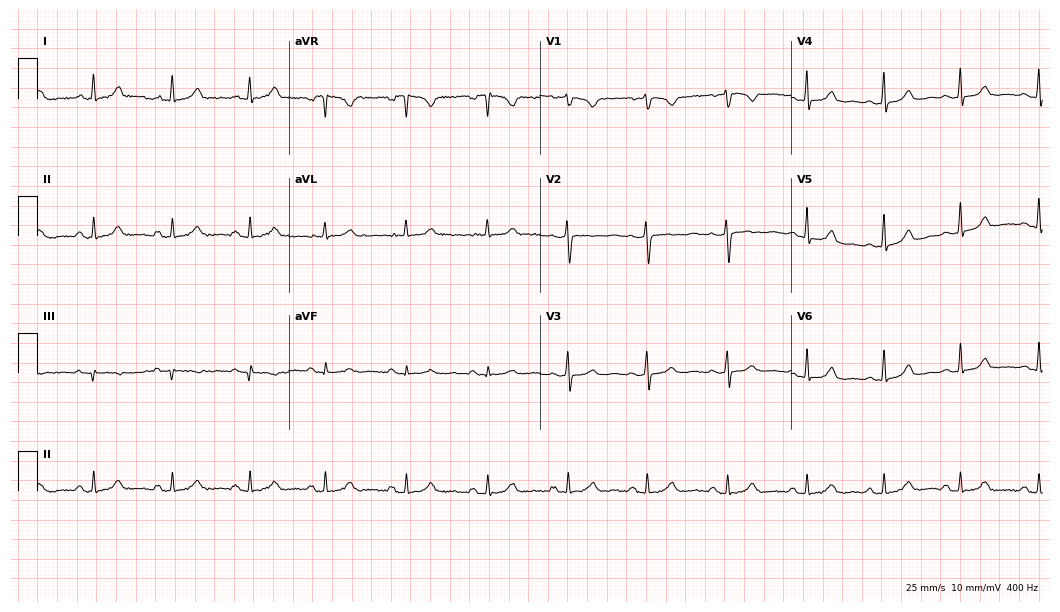
Standard 12-lead ECG recorded from a 43-year-old woman. Read as a normal ECG.